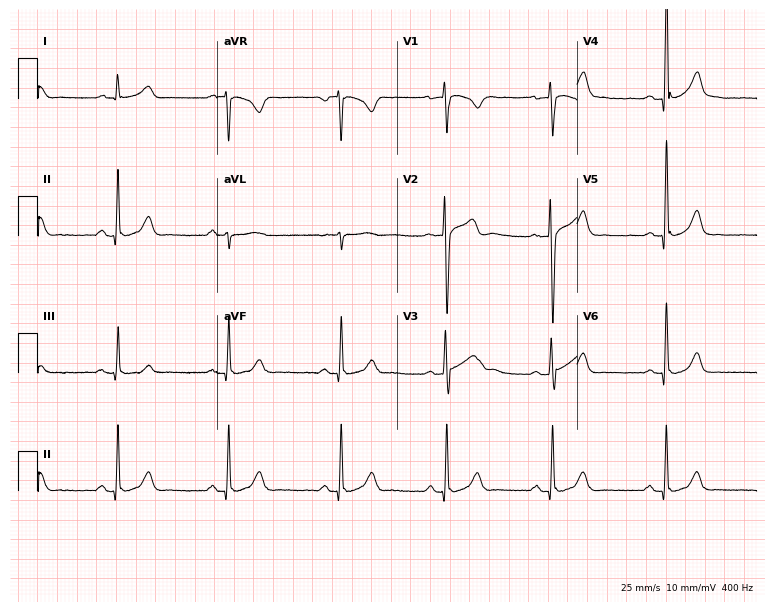
12-lead ECG from a male, 33 years old. Screened for six findings — first-degree AV block, right bundle branch block, left bundle branch block, sinus bradycardia, atrial fibrillation, sinus tachycardia — none is recorded. Other findings, if any, are not listed.